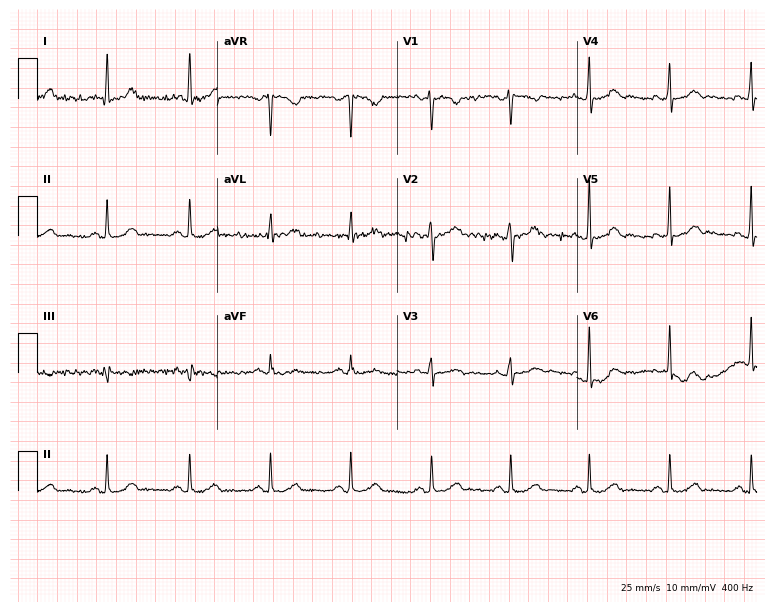
12-lead ECG from a 36-year-old female (7.3-second recording at 400 Hz). Recorded interpretation: within normal limits.